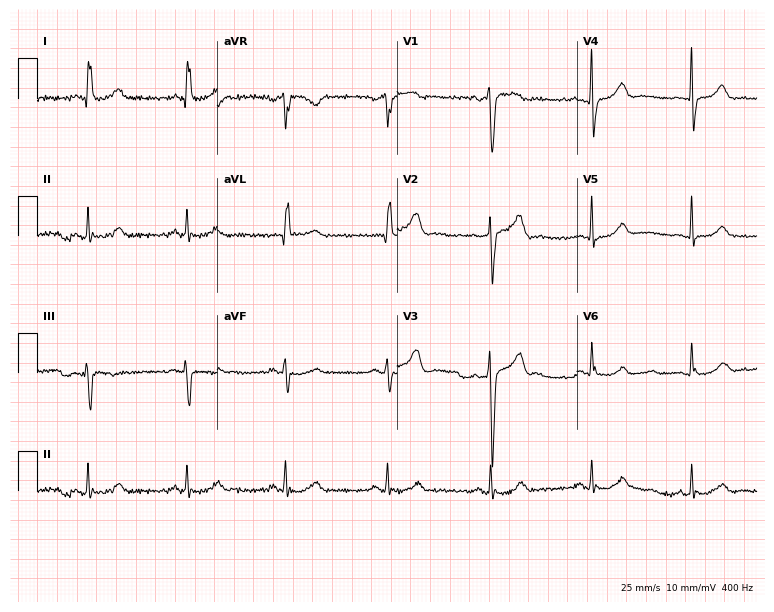
Standard 12-lead ECG recorded from a female patient, 69 years old (7.3-second recording at 400 Hz). Read as a normal ECG.